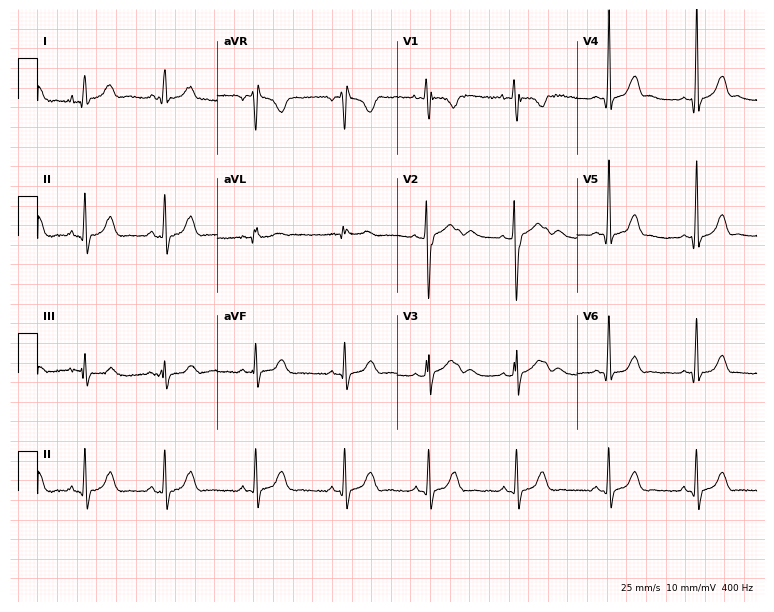
ECG — a 23-year-old female. Screened for six findings — first-degree AV block, right bundle branch block, left bundle branch block, sinus bradycardia, atrial fibrillation, sinus tachycardia — none is recorded. Findings outside these six are not listed.